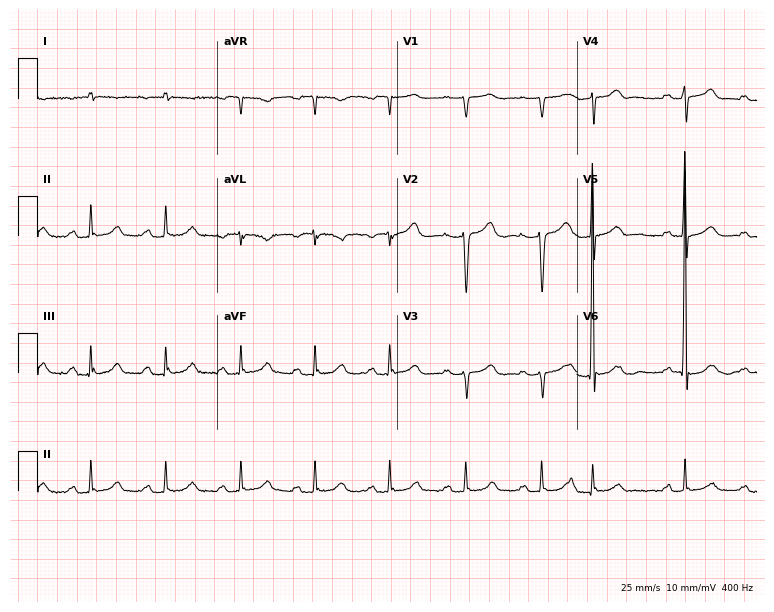
Electrocardiogram, a female, 69 years old. Interpretation includes first-degree AV block.